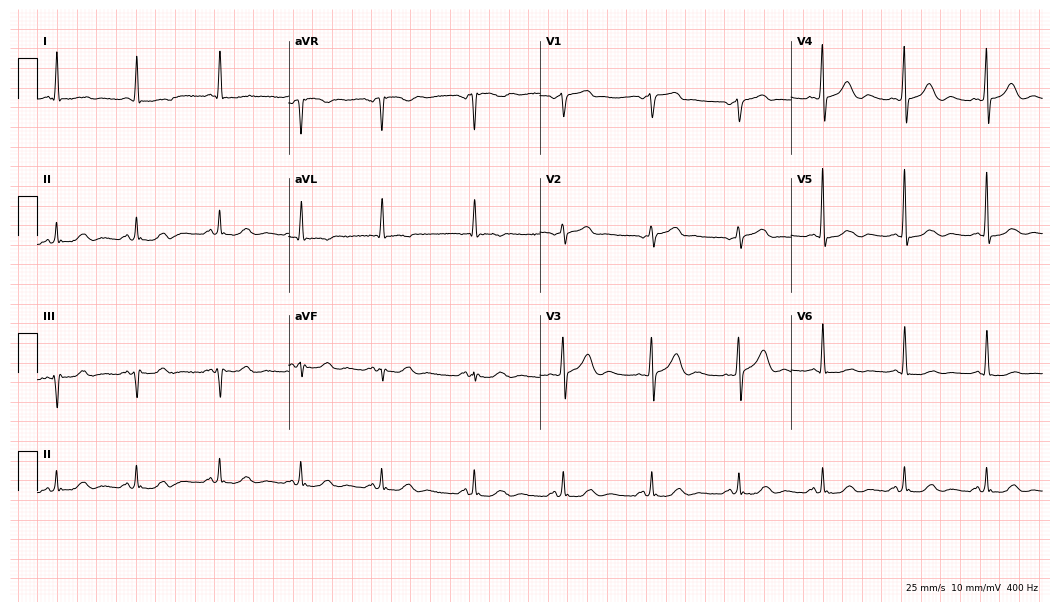
ECG (10.2-second recording at 400 Hz) — a 78-year-old woman. Labelled as a normal ECG.